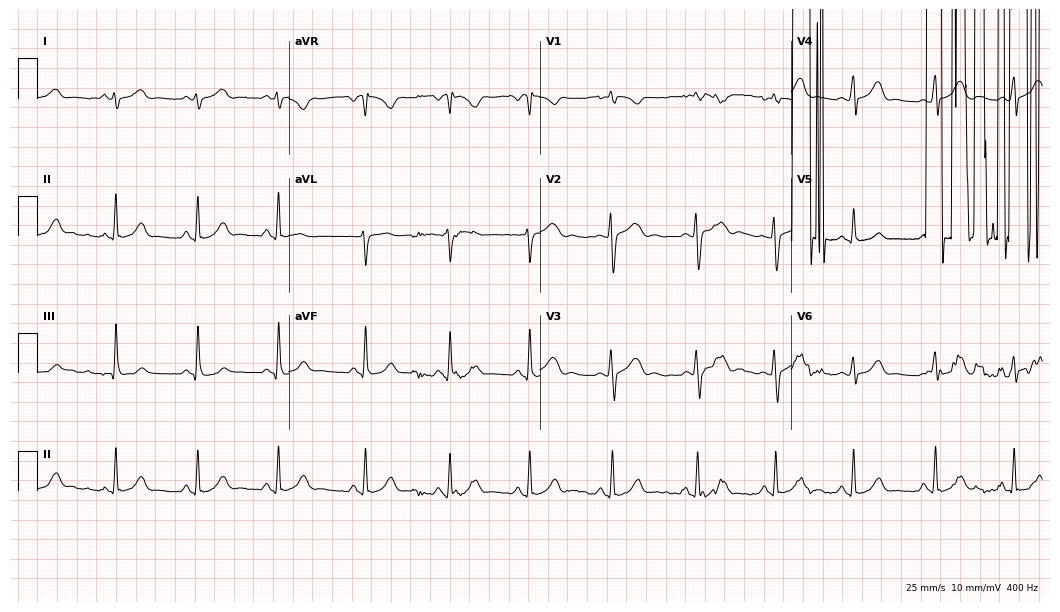
12-lead ECG from a 21-year-old female (10.2-second recording at 400 Hz). No first-degree AV block, right bundle branch block, left bundle branch block, sinus bradycardia, atrial fibrillation or sinus tachycardia recorded for this tracing.